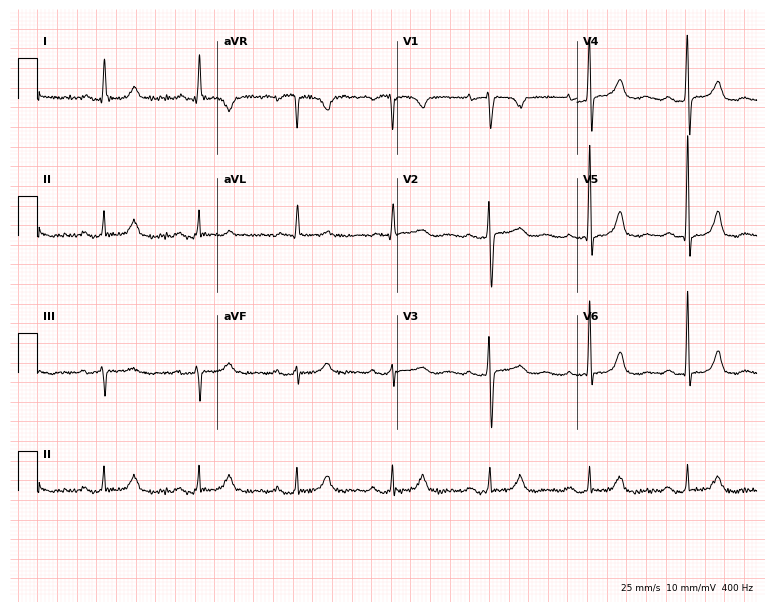
12-lead ECG (7.3-second recording at 400 Hz) from a man, 75 years old. Screened for six findings — first-degree AV block, right bundle branch block, left bundle branch block, sinus bradycardia, atrial fibrillation, sinus tachycardia — none is recorded. Other findings, if any, are not listed.